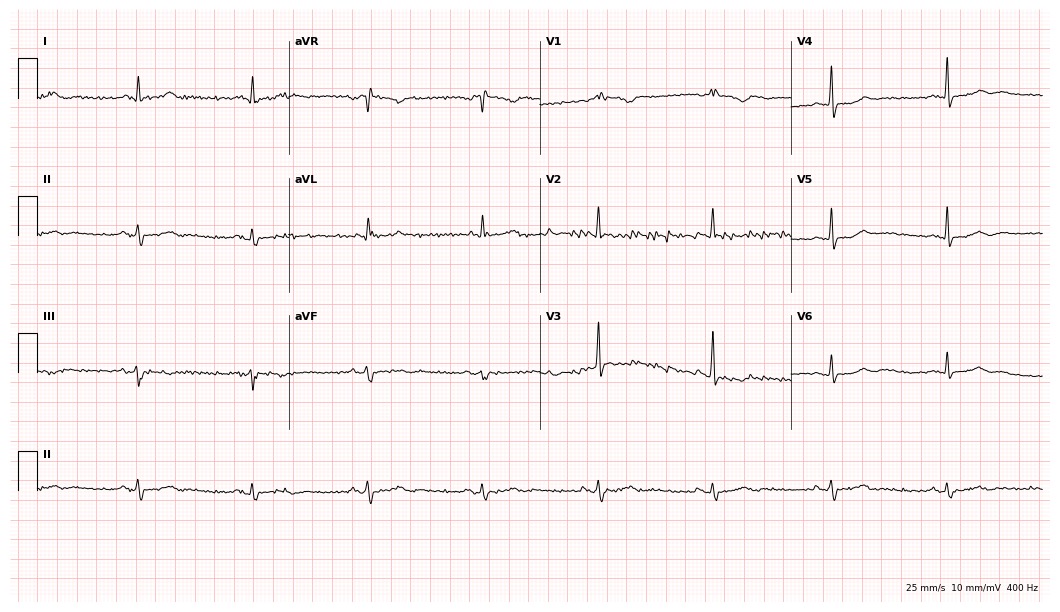
Resting 12-lead electrocardiogram. Patient: a man, 47 years old. None of these six findings is recorded: first-degree AV block, right bundle branch block, left bundle branch block, sinus bradycardia, atrial fibrillation, sinus tachycardia. Only these six findings were labelled.